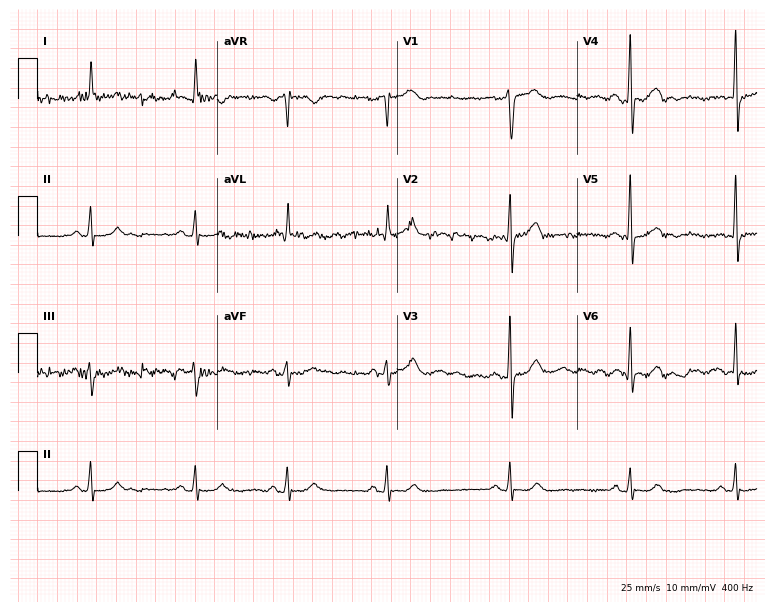
ECG (7.3-second recording at 400 Hz) — a male, 77 years old. Screened for six findings — first-degree AV block, right bundle branch block, left bundle branch block, sinus bradycardia, atrial fibrillation, sinus tachycardia — none is recorded. Other findings, if any, are not listed.